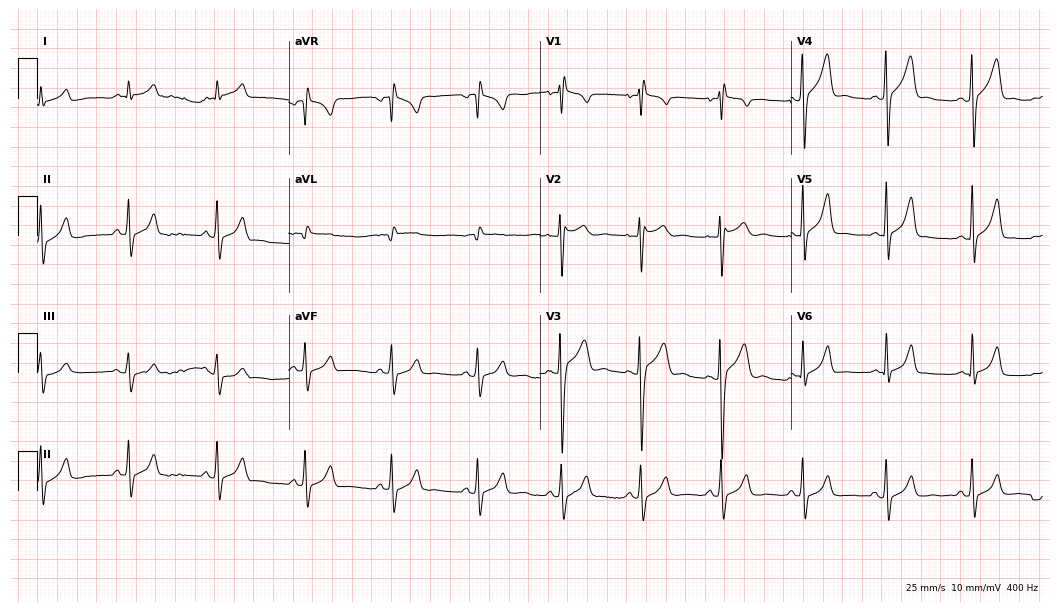
12-lead ECG (10.2-second recording at 400 Hz) from a 21-year-old man. Screened for six findings — first-degree AV block, right bundle branch block, left bundle branch block, sinus bradycardia, atrial fibrillation, sinus tachycardia — none is recorded.